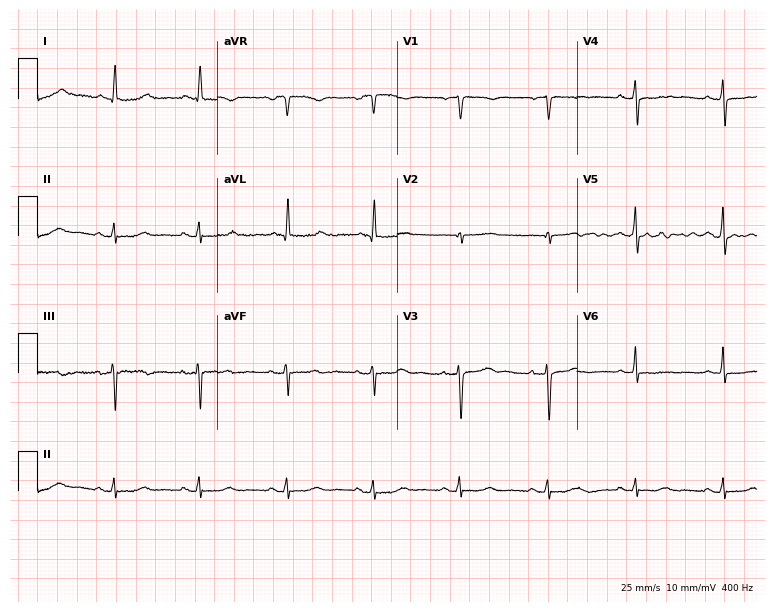
Electrocardiogram (7.3-second recording at 400 Hz), a female, 78 years old. Of the six screened findings (first-degree AV block, right bundle branch block, left bundle branch block, sinus bradycardia, atrial fibrillation, sinus tachycardia), none is recorded.